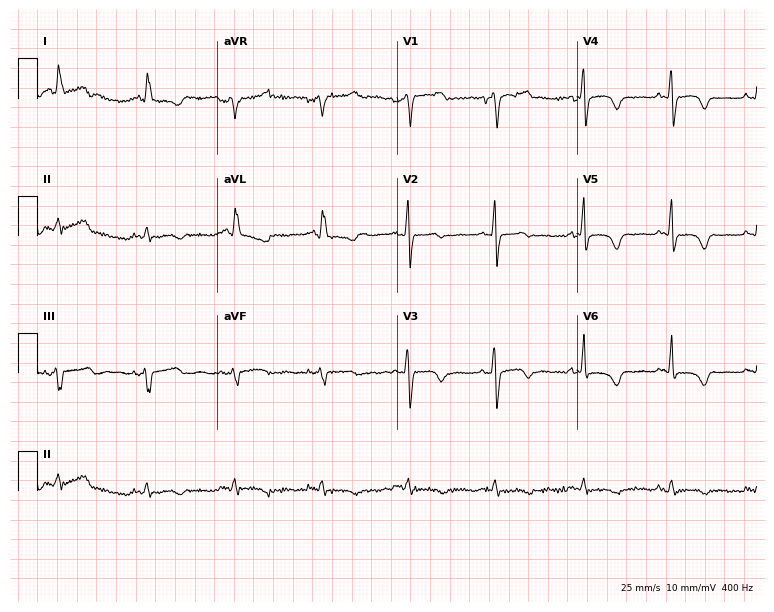
Electrocardiogram (7.3-second recording at 400 Hz), a female, 78 years old. Of the six screened findings (first-degree AV block, right bundle branch block, left bundle branch block, sinus bradycardia, atrial fibrillation, sinus tachycardia), none is recorded.